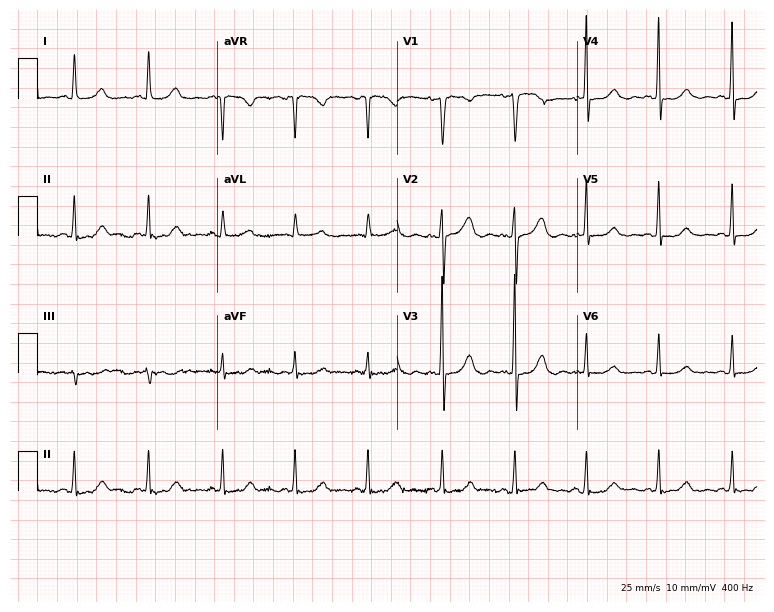
12-lead ECG (7.3-second recording at 400 Hz) from a female, 50 years old. Labelled as a normal ECG.